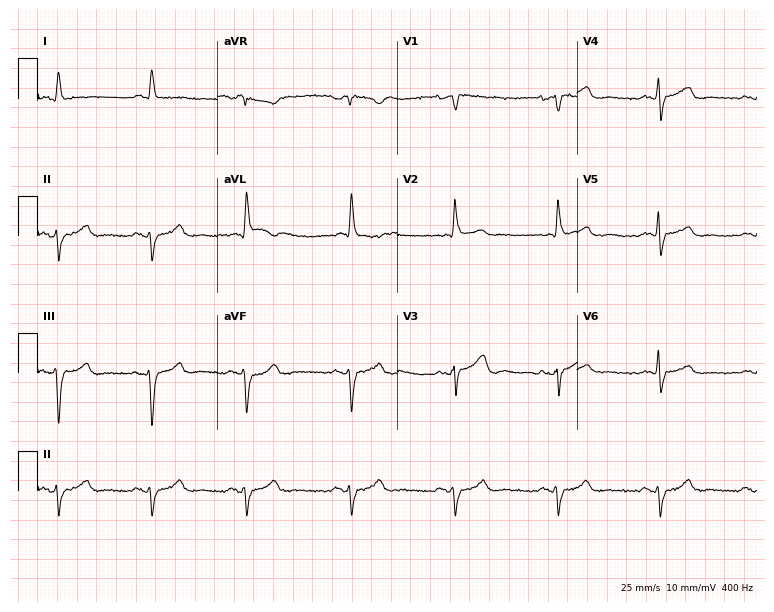
Resting 12-lead electrocardiogram. Patient: a man, 82 years old. None of these six findings is recorded: first-degree AV block, right bundle branch block (RBBB), left bundle branch block (LBBB), sinus bradycardia, atrial fibrillation (AF), sinus tachycardia.